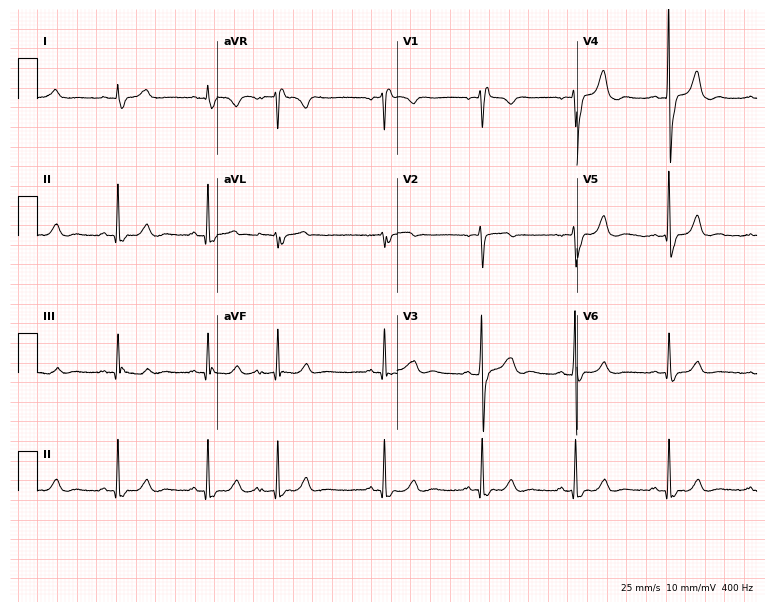
12-lead ECG (7.3-second recording at 400 Hz) from a 70-year-old female patient. Screened for six findings — first-degree AV block, right bundle branch block, left bundle branch block, sinus bradycardia, atrial fibrillation, sinus tachycardia — none is recorded.